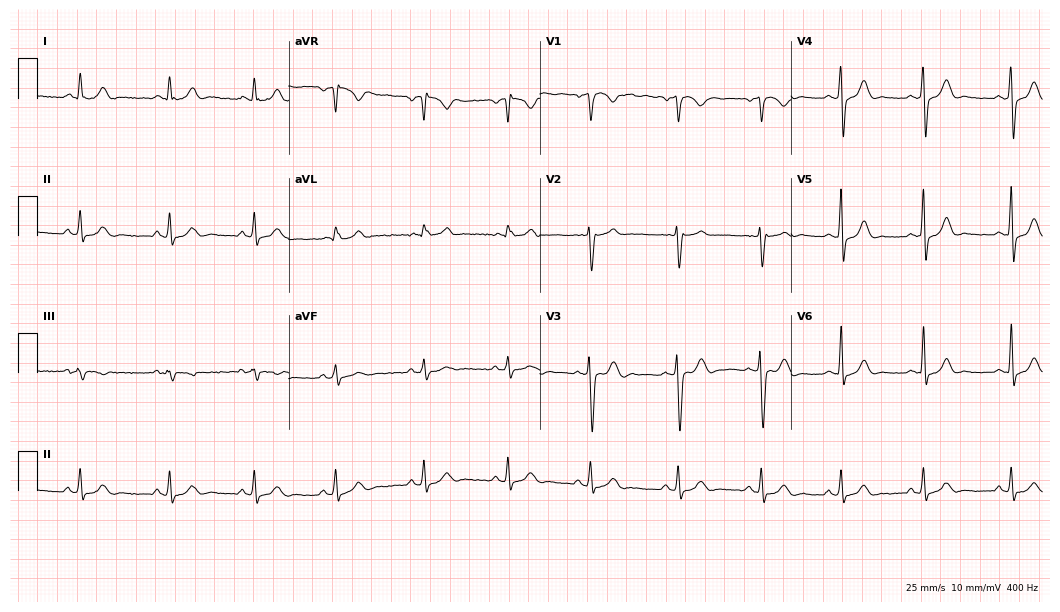
Electrocardiogram (10.2-second recording at 400 Hz), a man, 29 years old. Overall reading on record: normal ECG.